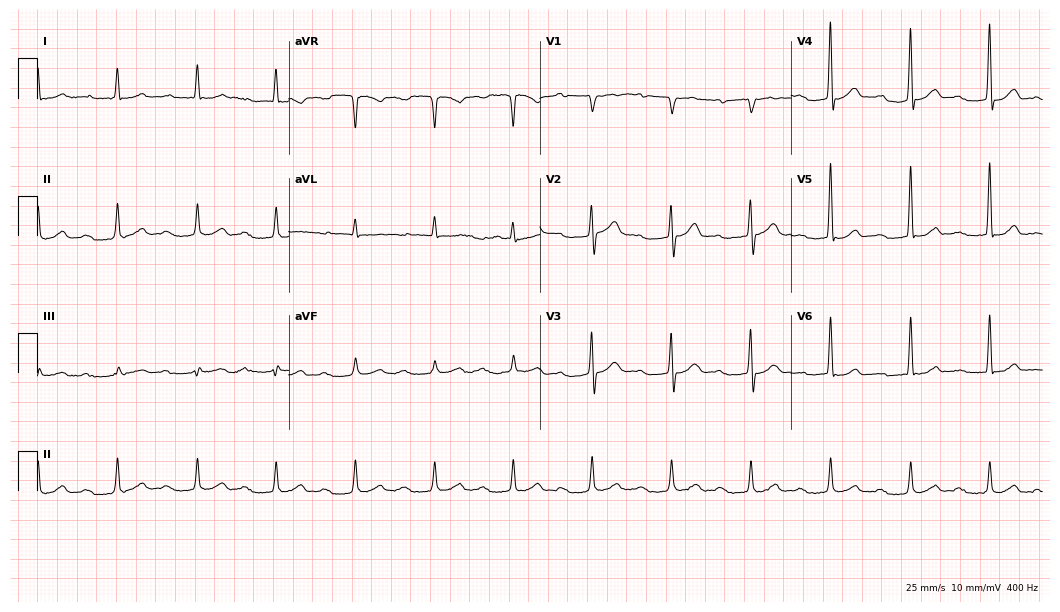
ECG — an 85-year-old male patient. Screened for six findings — first-degree AV block, right bundle branch block, left bundle branch block, sinus bradycardia, atrial fibrillation, sinus tachycardia — none is recorded. Findings outside these six are not listed.